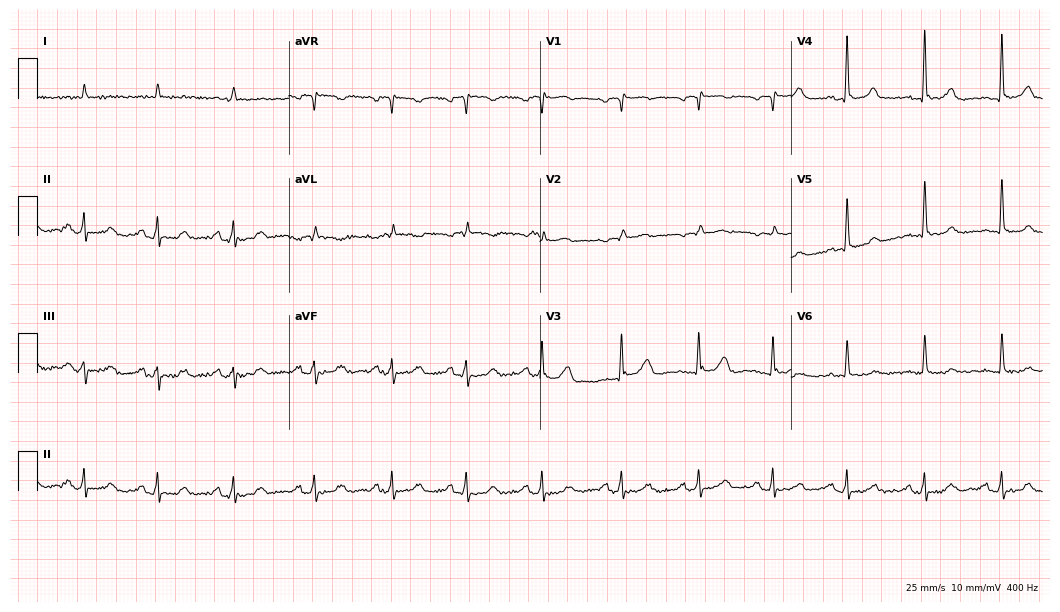
Standard 12-lead ECG recorded from a 78-year-old man. None of these six findings is recorded: first-degree AV block, right bundle branch block (RBBB), left bundle branch block (LBBB), sinus bradycardia, atrial fibrillation (AF), sinus tachycardia. Only these six findings were labelled.